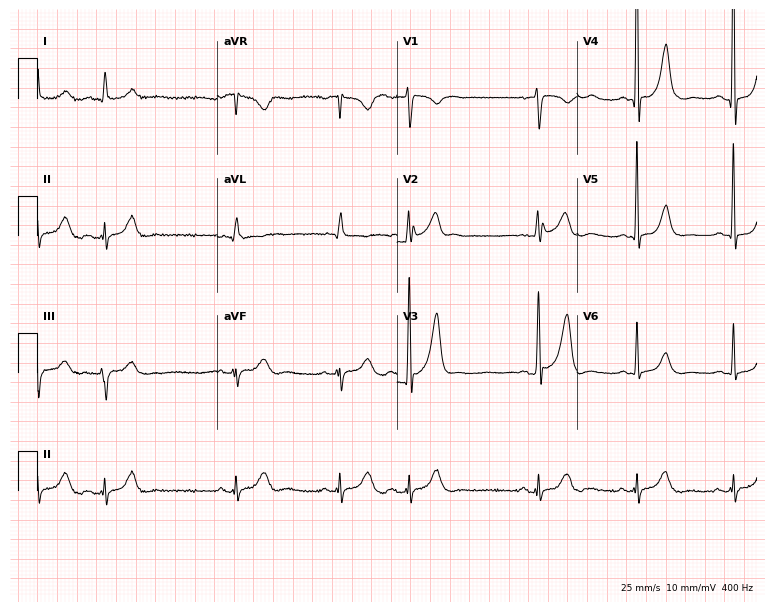
12-lead ECG from a male patient, 76 years old. No first-degree AV block, right bundle branch block (RBBB), left bundle branch block (LBBB), sinus bradycardia, atrial fibrillation (AF) or sinus tachycardia recorded for this tracing.